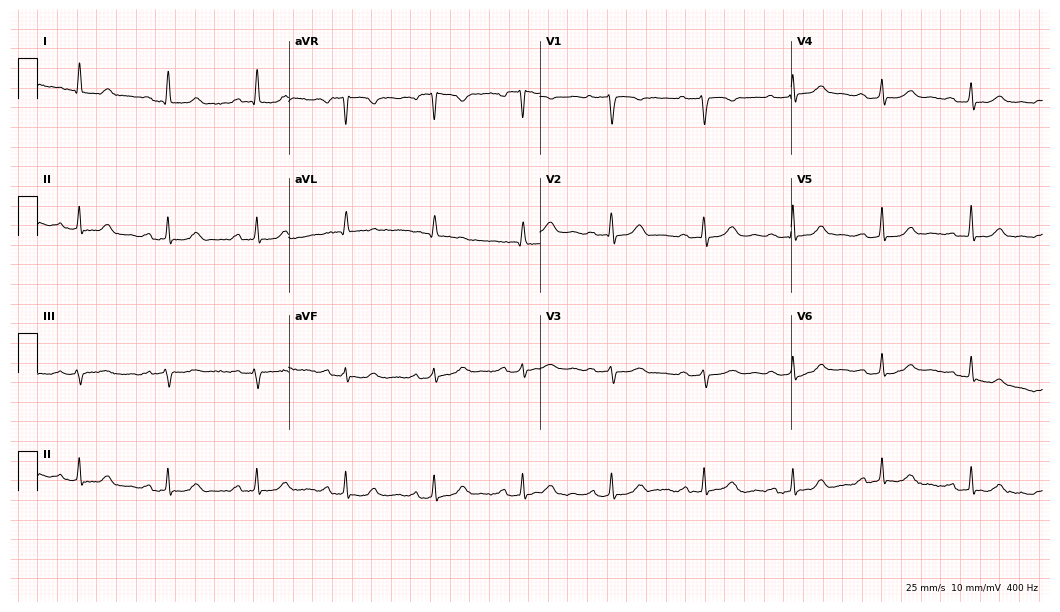
Resting 12-lead electrocardiogram. Patient: an 80-year-old female. None of these six findings is recorded: first-degree AV block, right bundle branch block (RBBB), left bundle branch block (LBBB), sinus bradycardia, atrial fibrillation (AF), sinus tachycardia.